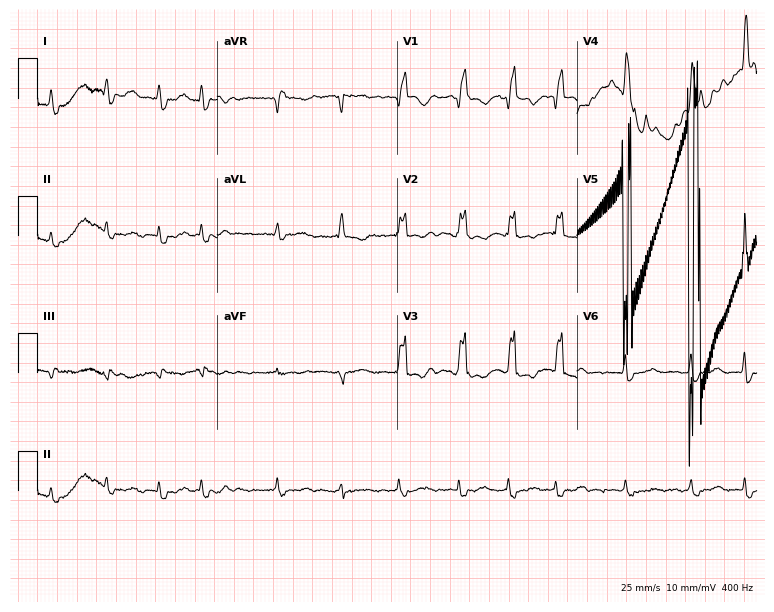
12-lead ECG from a female patient, 79 years old. No first-degree AV block, right bundle branch block, left bundle branch block, sinus bradycardia, atrial fibrillation or sinus tachycardia recorded for this tracing. Other findings, if any, are not listed.